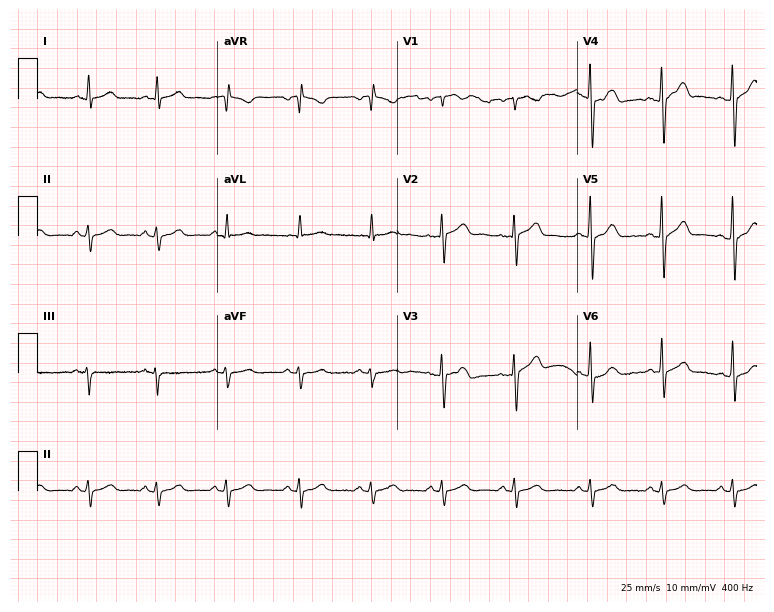
ECG — a 51-year-old male patient. Screened for six findings — first-degree AV block, right bundle branch block, left bundle branch block, sinus bradycardia, atrial fibrillation, sinus tachycardia — none is recorded.